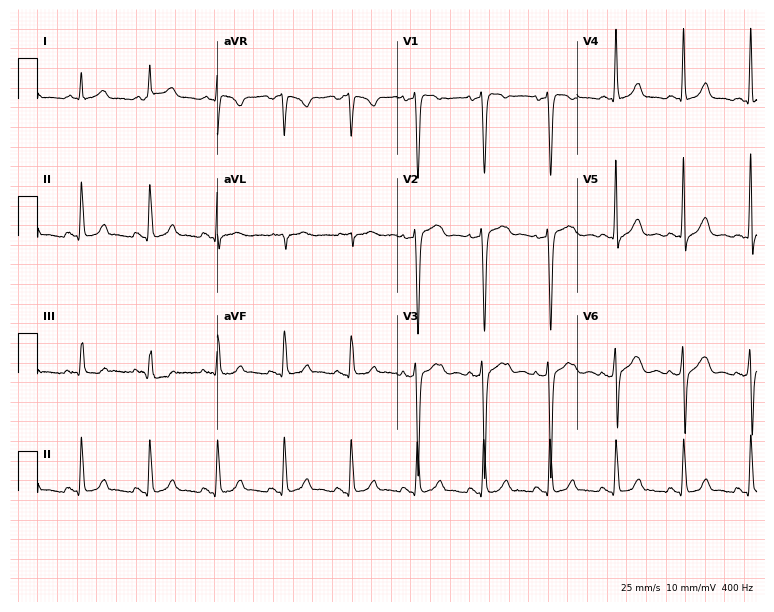
12-lead ECG from a male, 65 years old. Screened for six findings — first-degree AV block, right bundle branch block, left bundle branch block, sinus bradycardia, atrial fibrillation, sinus tachycardia — none is recorded. Other findings, if any, are not listed.